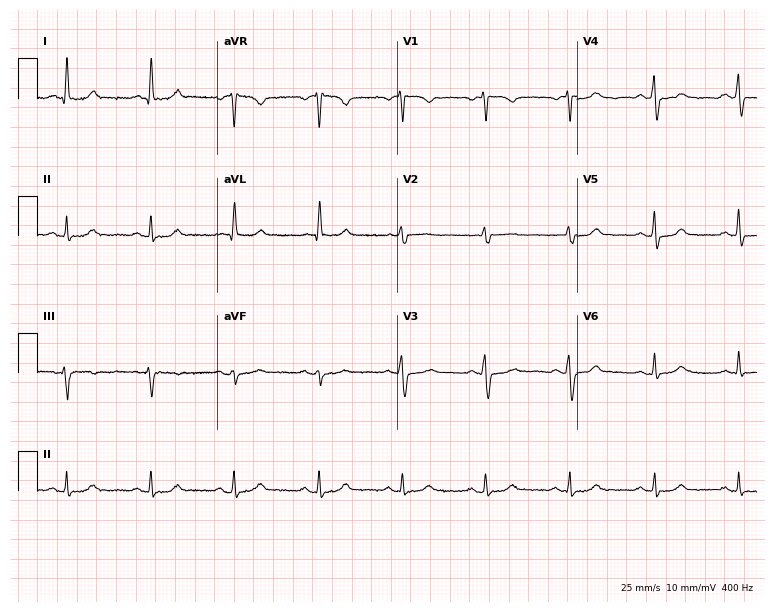
Resting 12-lead electrocardiogram. Patient: a 70-year-old female. Read as a normal ECG.